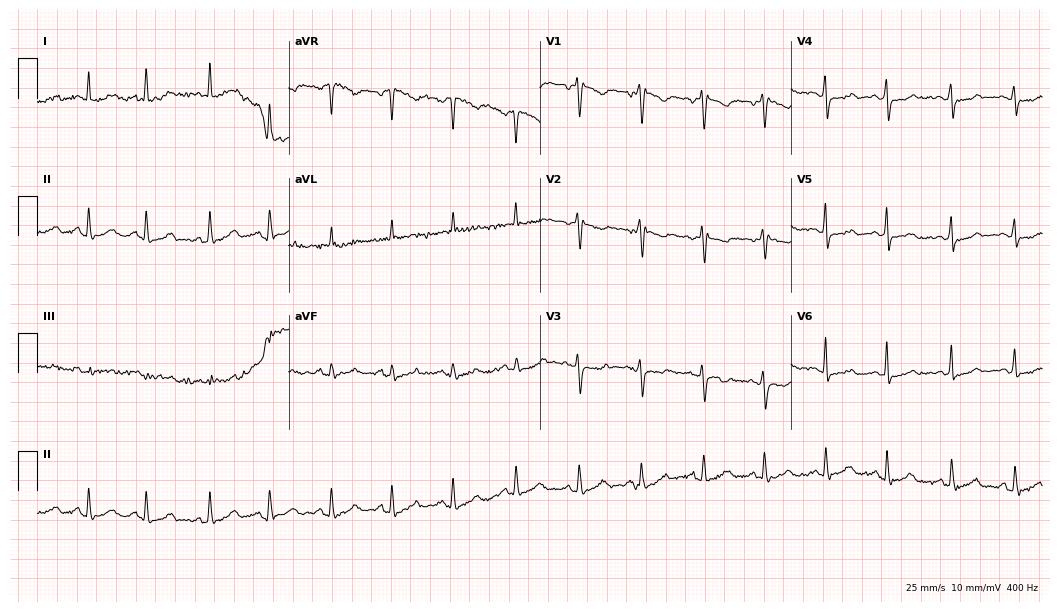
Standard 12-lead ECG recorded from a 37-year-old woman. None of these six findings is recorded: first-degree AV block, right bundle branch block, left bundle branch block, sinus bradycardia, atrial fibrillation, sinus tachycardia. Findings outside these six are not listed.